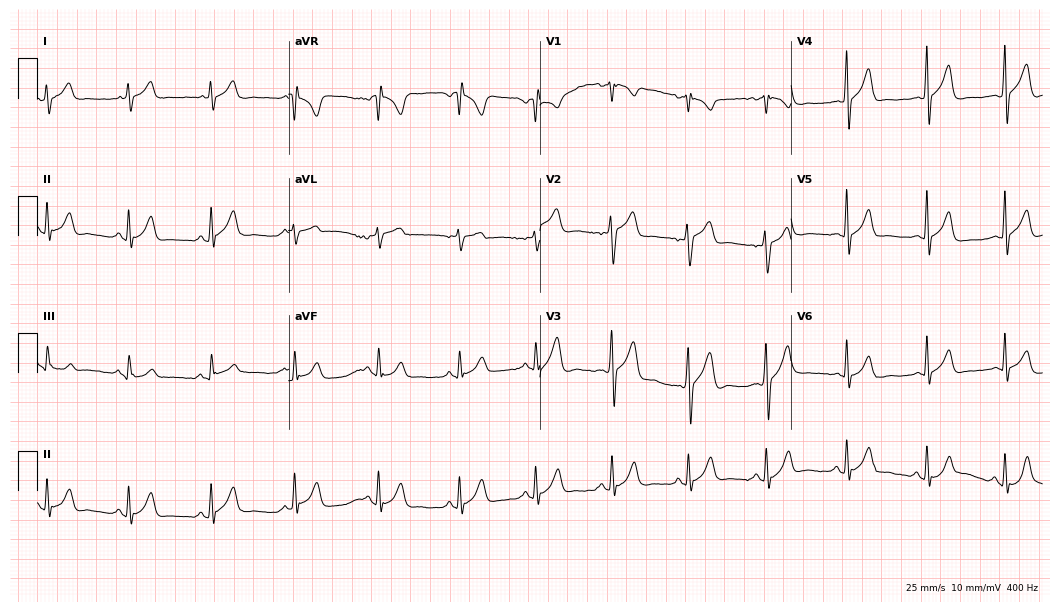
12-lead ECG (10.2-second recording at 400 Hz) from a 22-year-old male. Labelled as a normal ECG.